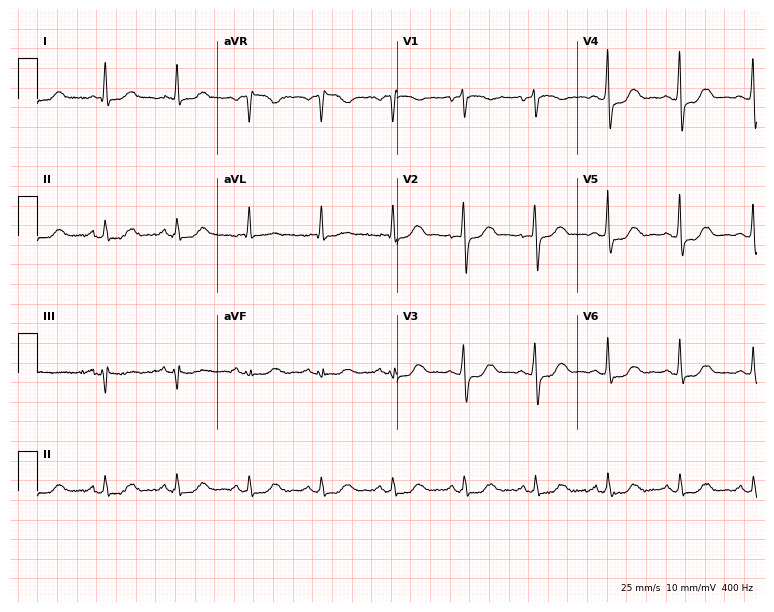
Standard 12-lead ECG recorded from a 73-year-old female patient (7.3-second recording at 400 Hz). None of these six findings is recorded: first-degree AV block, right bundle branch block, left bundle branch block, sinus bradycardia, atrial fibrillation, sinus tachycardia.